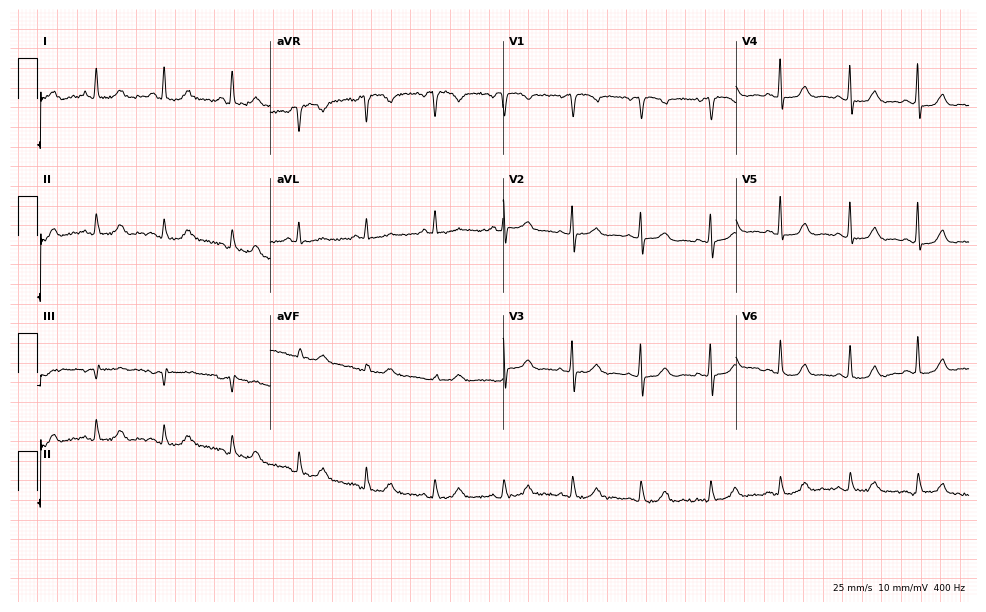
12-lead ECG from a 60-year-old female patient. Labelled as a normal ECG.